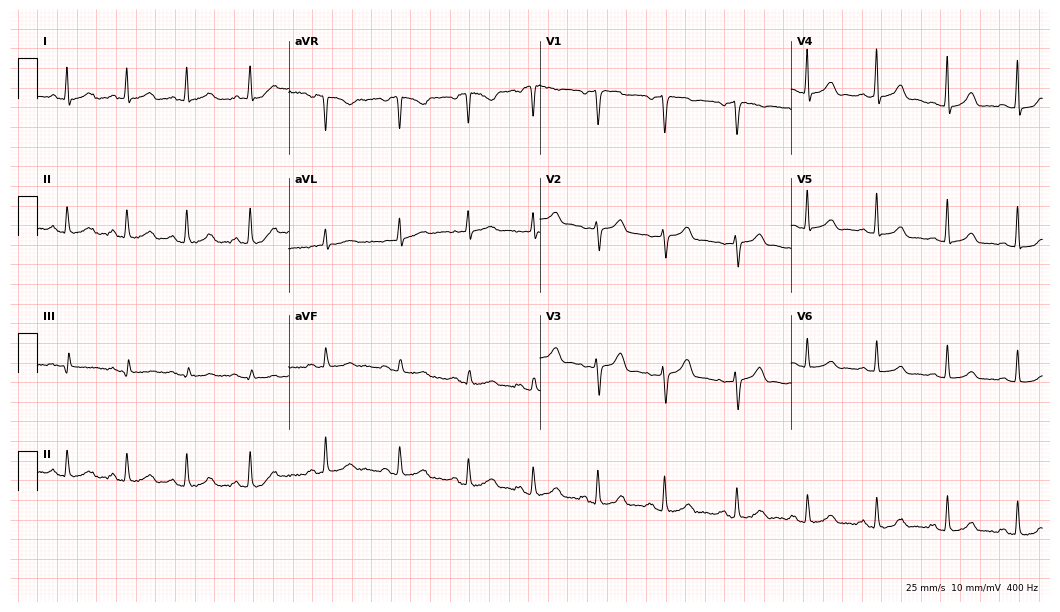
12-lead ECG from a 47-year-old female (10.2-second recording at 400 Hz). Recorded interpretation: within normal limits.